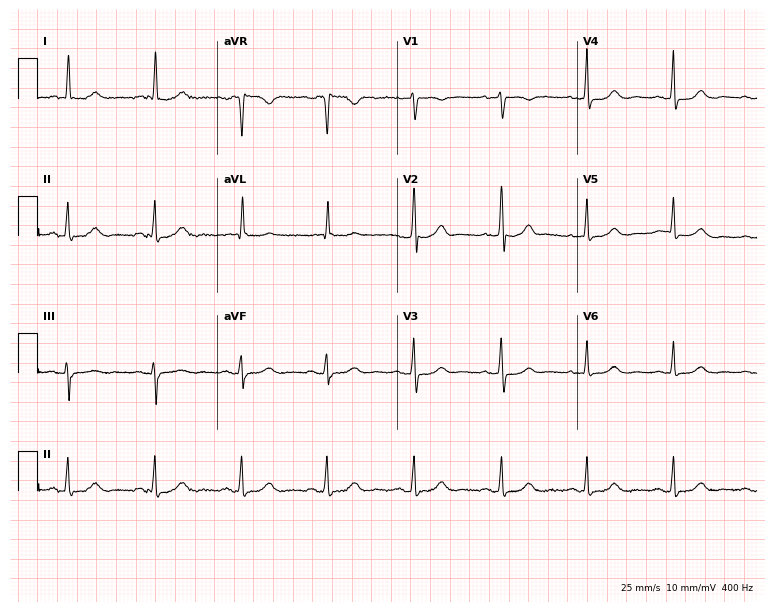
Electrocardiogram (7.3-second recording at 400 Hz), a 75-year-old woman. Overall reading on record: normal ECG.